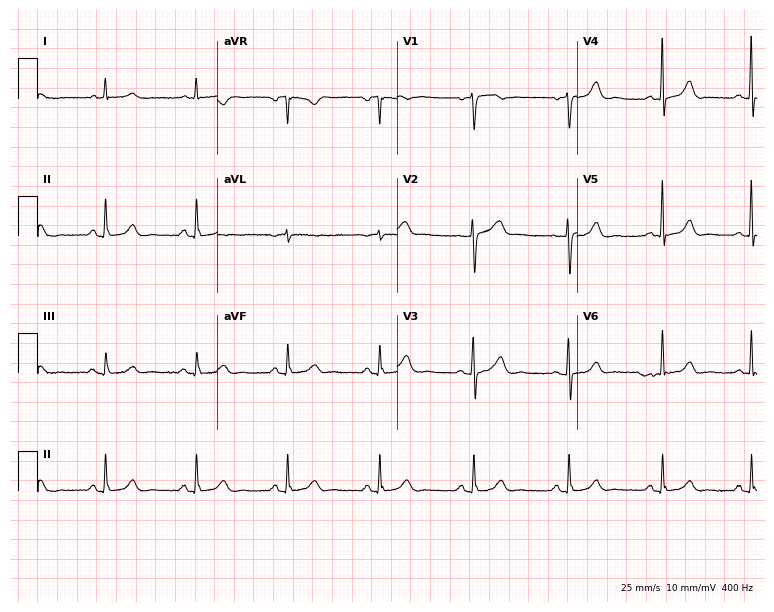
12-lead ECG (7.3-second recording at 400 Hz) from a woman, 63 years old. Labelled as a normal ECG.